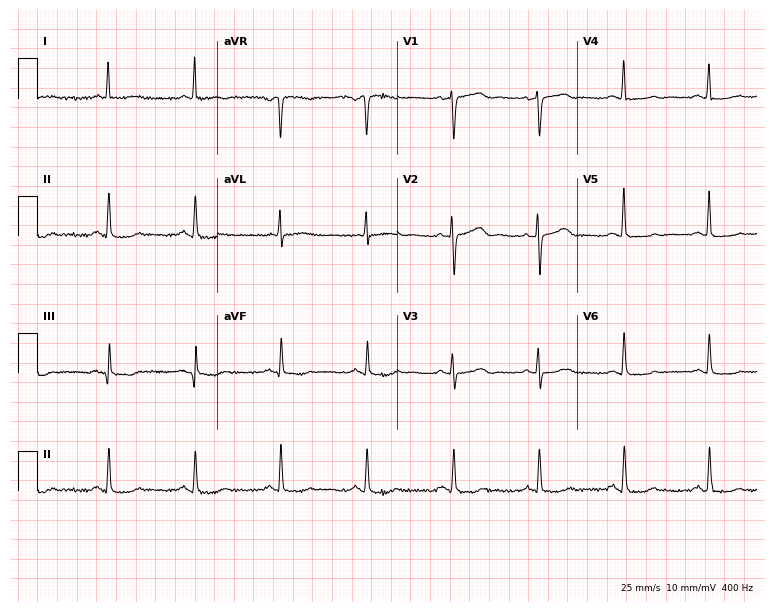
Resting 12-lead electrocardiogram (7.3-second recording at 400 Hz). Patient: a 60-year-old female. Read as a normal ECG.